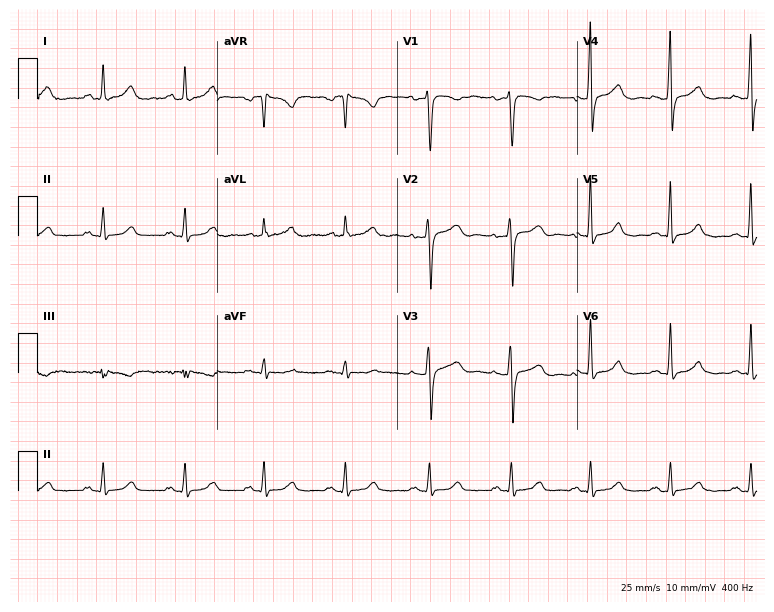
Resting 12-lead electrocardiogram (7.3-second recording at 400 Hz). Patient: a 40-year-old woman. Read as a normal ECG.